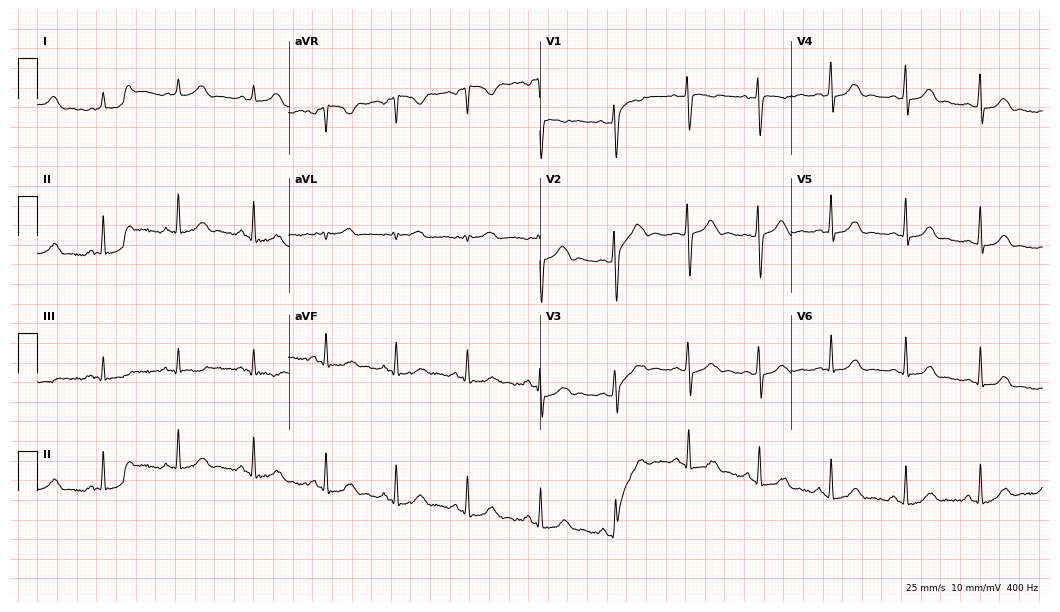
ECG — a woman, 23 years old. Labelled as a normal ECG.